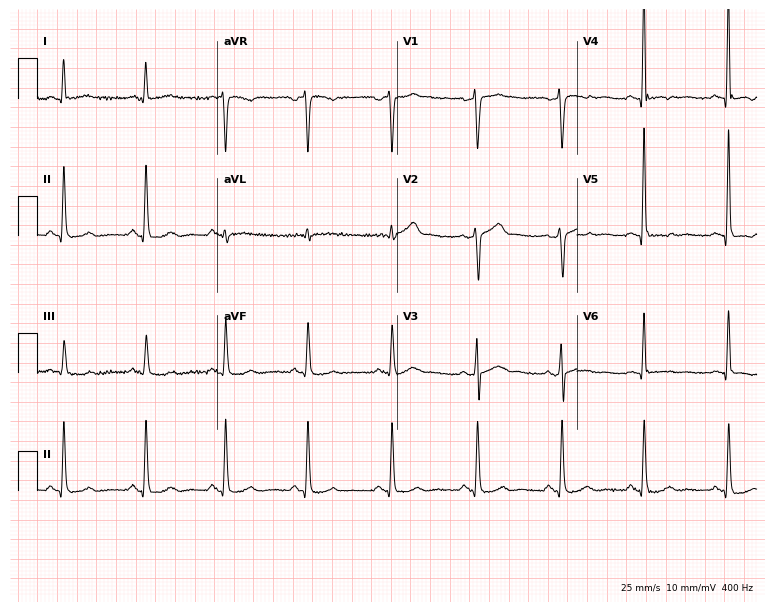
Standard 12-lead ECG recorded from a 54-year-old male patient. None of these six findings is recorded: first-degree AV block, right bundle branch block, left bundle branch block, sinus bradycardia, atrial fibrillation, sinus tachycardia.